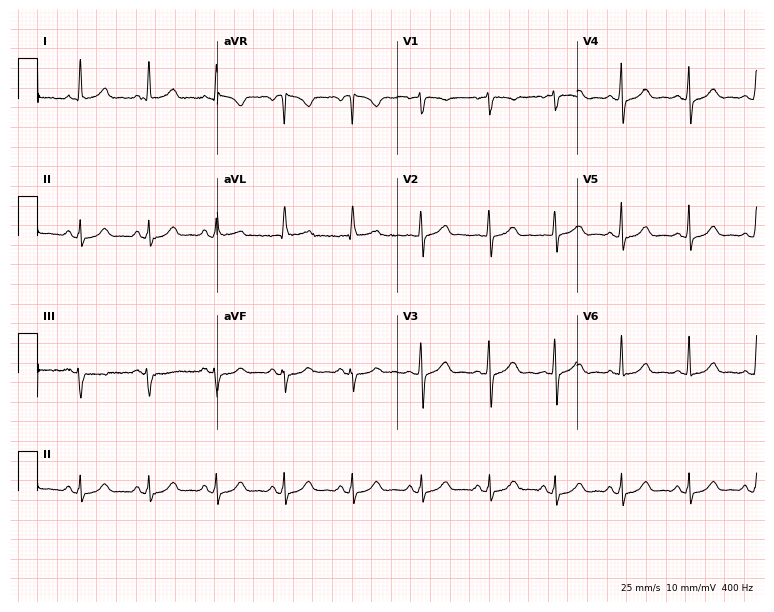
12-lead ECG from a 66-year-old woman. Labelled as a normal ECG.